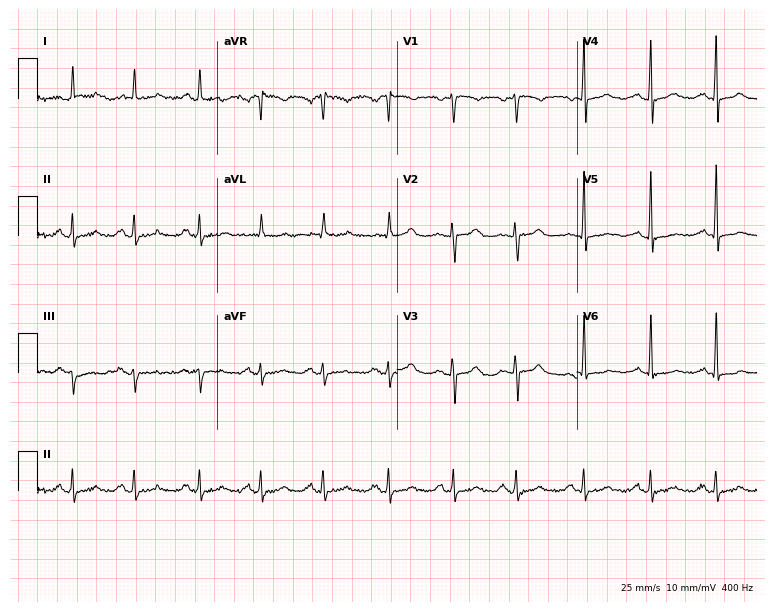
Standard 12-lead ECG recorded from a 45-year-old female. None of these six findings is recorded: first-degree AV block, right bundle branch block (RBBB), left bundle branch block (LBBB), sinus bradycardia, atrial fibrillation (AF), sinus tachycardia. Only these six findings were labelled.